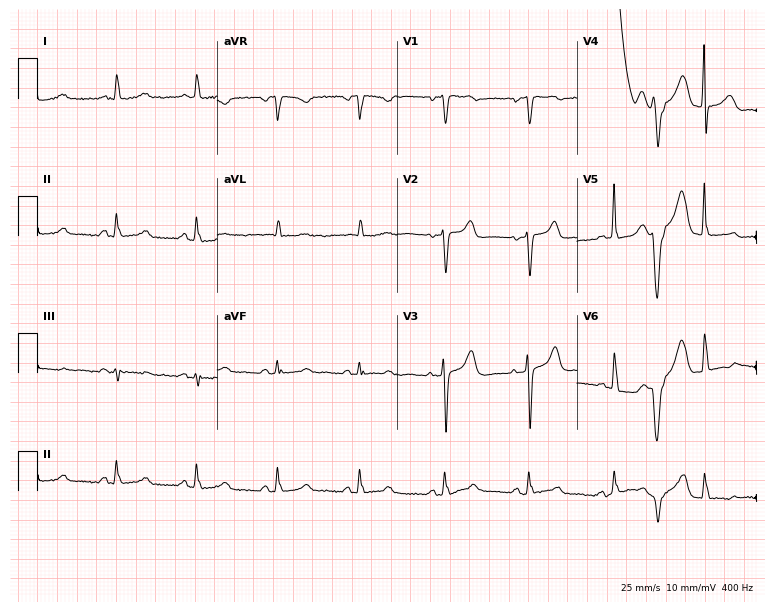
ECG (7.3-second recording at 400 Hz) — an 83-year-old woman. Screened for six findings — first-degree AV block, right bundle branch block, left bundle branch block, sinus bradycardia, atrial fibrillation, sinus tachycardia — none is recorded. Findings outside these six are not listed.